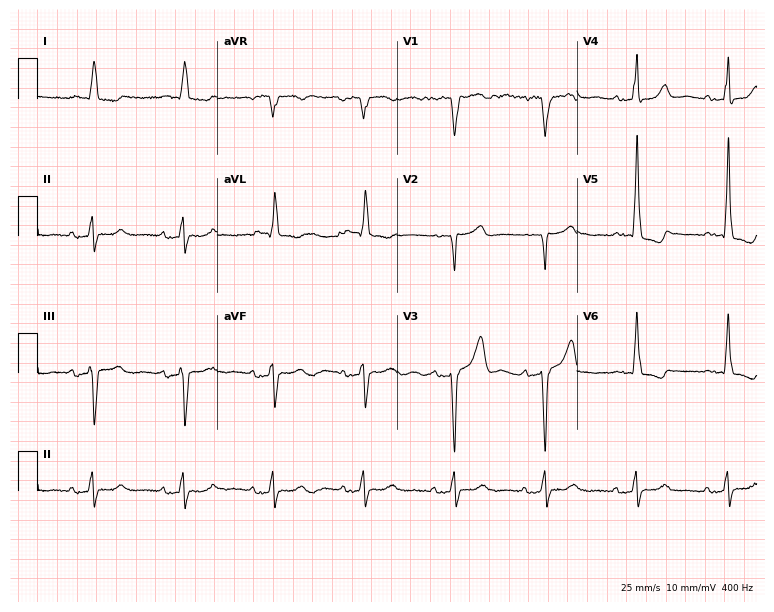
12-lead ECG from a male patient, 84 years old. Screened for six findings — first-degree AV block, right bundle branch block, left bundle branch block, sinus bradycardia, atrial fibrillation, sinus tachycardia — none is recorded.